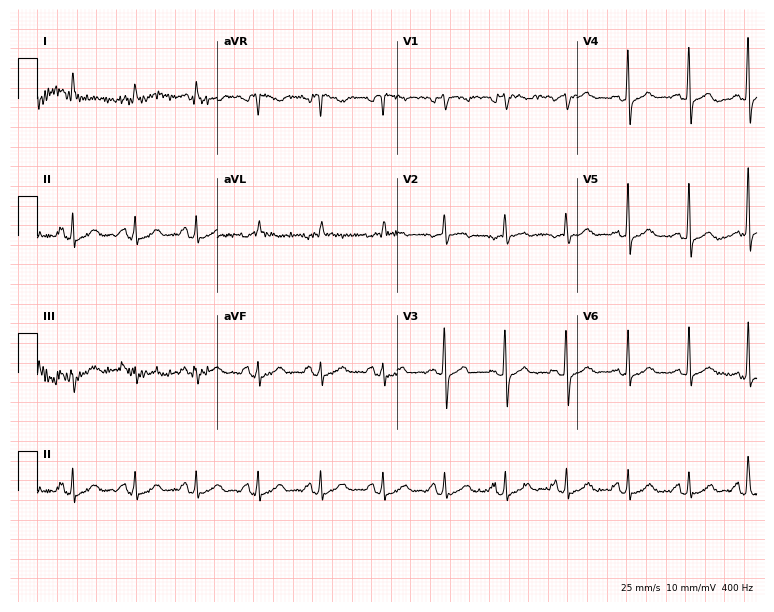
Standard 12-lead ECG recorded from a 70-year-old female patient. None of these six findings is recorded: first-degree AV block, right bundle branch block, left bundle branch block, sinus bradycardia, atrial fibrillation, sinus tachycardia.